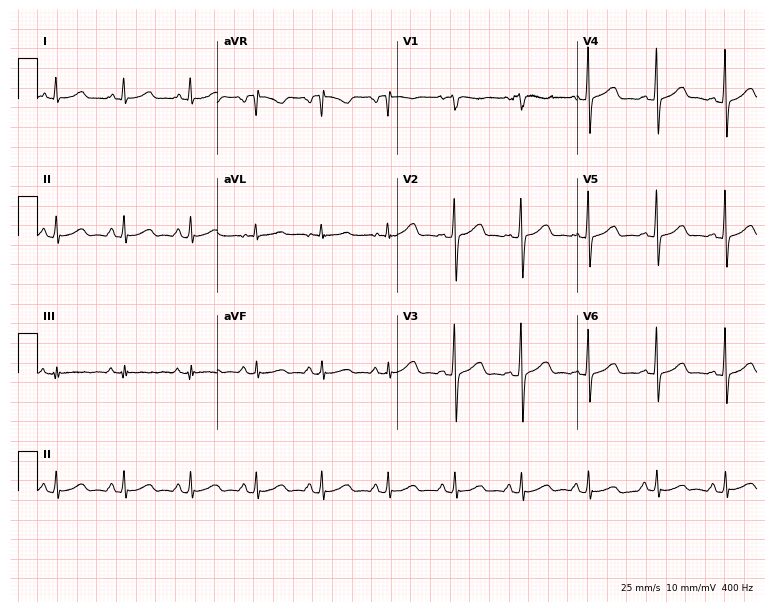
Electrocardiogram (7.3-second recording at 400 Hz), a 36-year-old female. Of the six screened findings (first-degree AV block, right bundle branch block (RBBB), left bundle branch block (LBBB), sinus bradycardia, atrial fibrillation (AF), sinus tachycardia), none is recorded. Only these six findings were labelled.